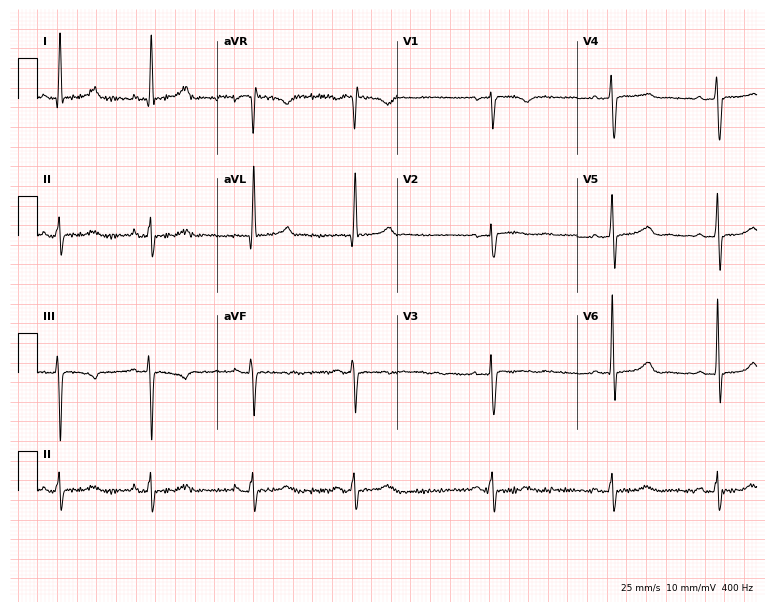
Resting 12-lead electrocardiogram (7.3-second recording at 400 Hz). Patient: a 55-year-old woman. Read as a normal ECG.